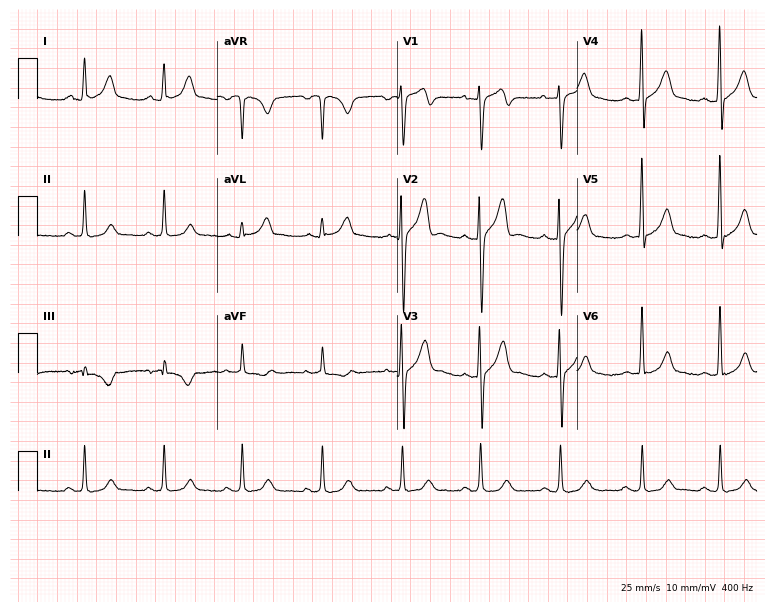
Resting 12-lead electrocardiogram. Patient: a male, 33 years old. Read as a normal ECG.